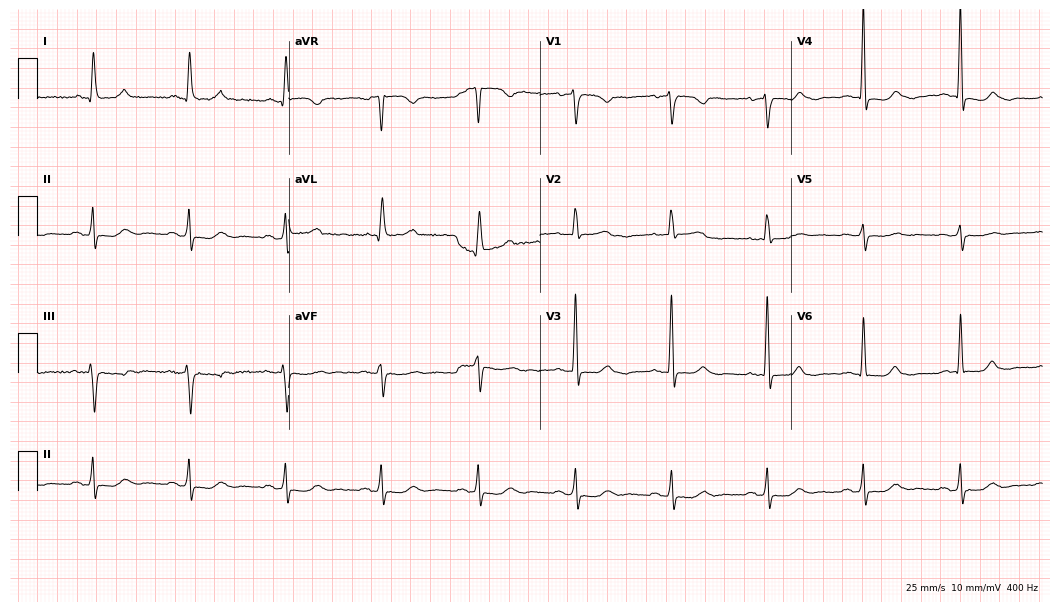
12-lead ECG from a female, 83 years old. No first-degree AV block, right bundle branch block (RBBB), left bundle branch block (LBBB), sinus bradycardia, atrial fibrillation (AF) or sinus tachycardia recorded for this tracing. Findings outside these six are not listed.